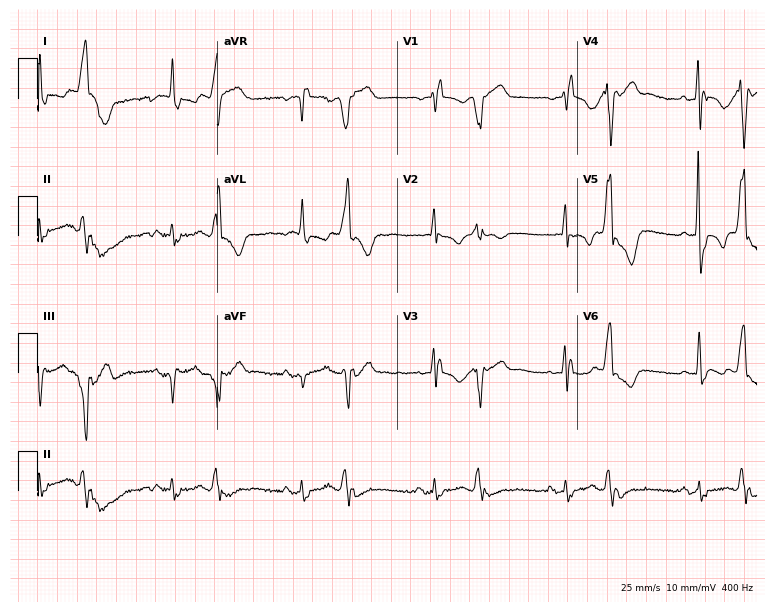
ECG — a female, 79 years old. Screened for six findings — first-degree AV block, right bundle branch block (RBBB), left bundle branch block (LBBB), sinus bradycardia, atrial fibrillation (AF), sinus tachycardia — none is recorded. Other findings, if any, are not listed.